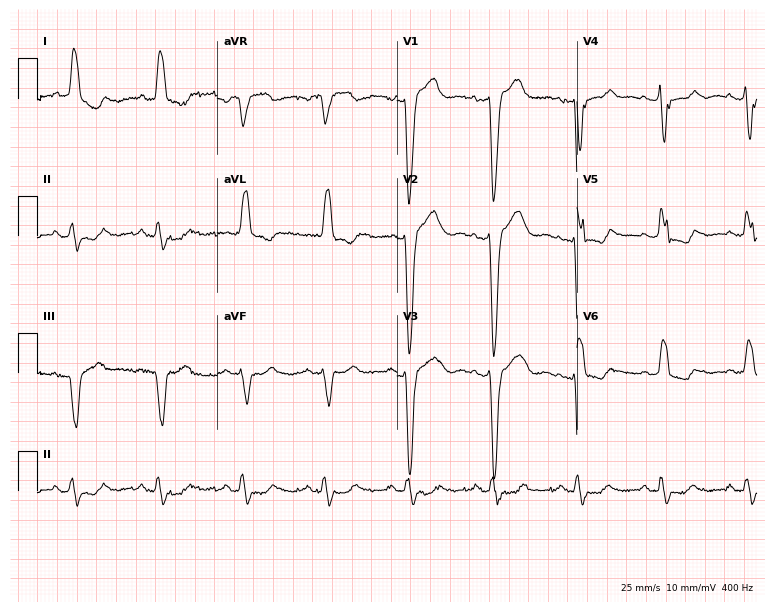
12-lead ECG from a woman, 74 years old. Shows left bundle branch block.